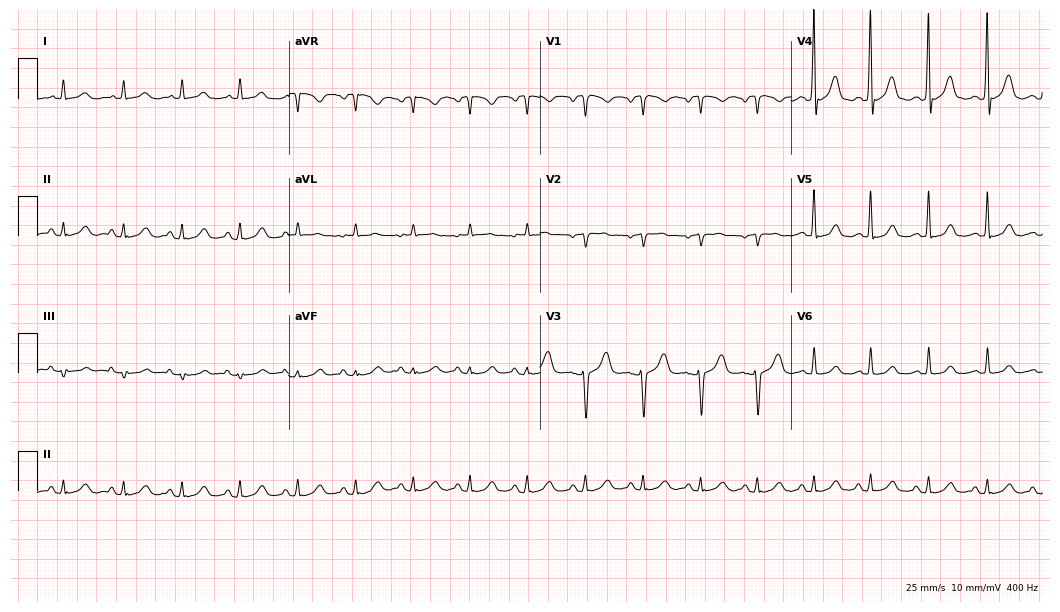
Electrocardiogram, a 46-year-old female patient. Of the six screened findings (first-degree AV block, right bundle branch block (RBBB), left bundle branch block (LBBB), sinus bradycardia, atrial fibrillation (AF), sinus tachycardia), none is recorded. Other findings, if any, are not listed.